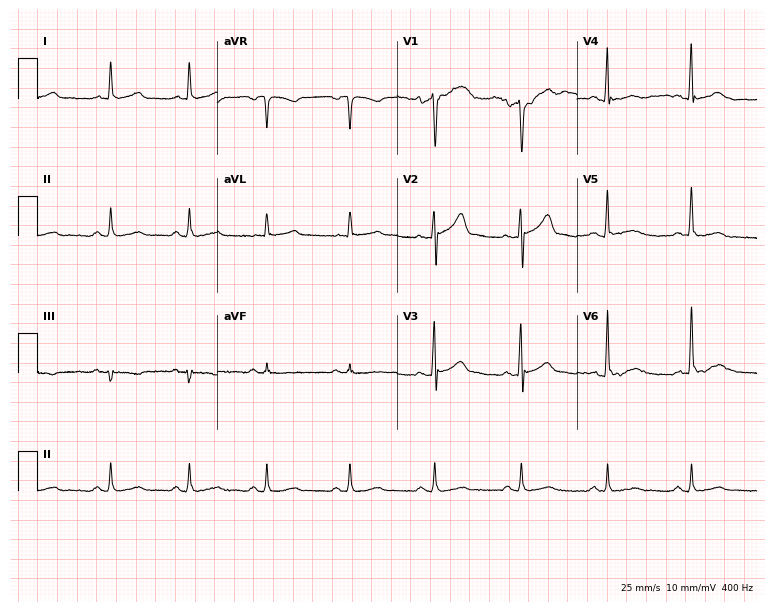
Standard 12-lead ECG recorded from a 54-year-old man. Read as a normal ECG.